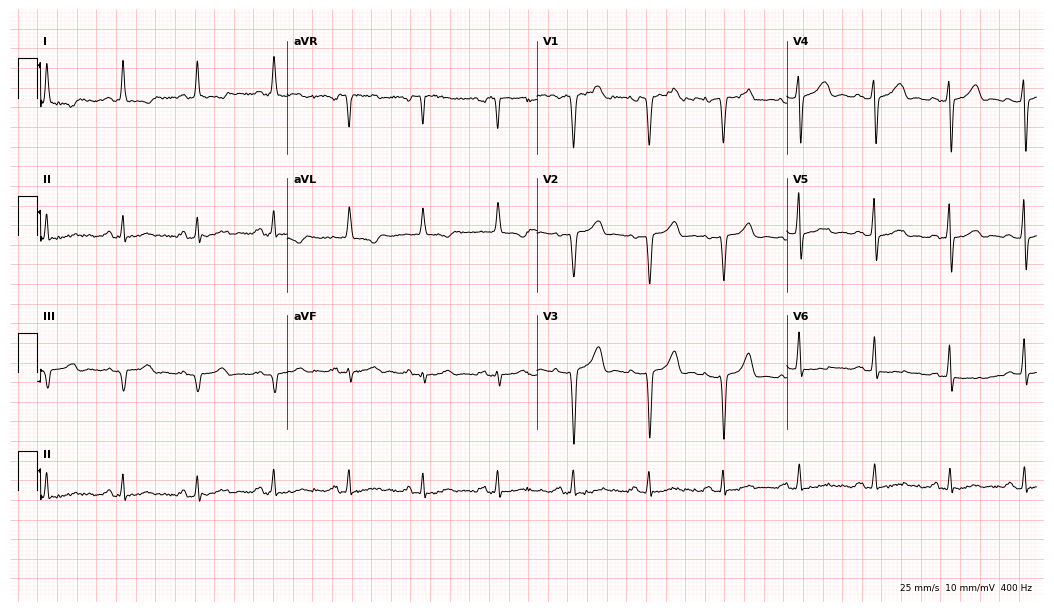
Electrocardiogram (10.2-second recording at 400 Hz), a 58-year-old female patient. Of the six screened findings (first-degree AV block, right bundle branch block (RBBB), left bundle branch block (LBBB), sinus bradycardia, atrial fibrillation (AF), sinus tachycardia), none is recorded.